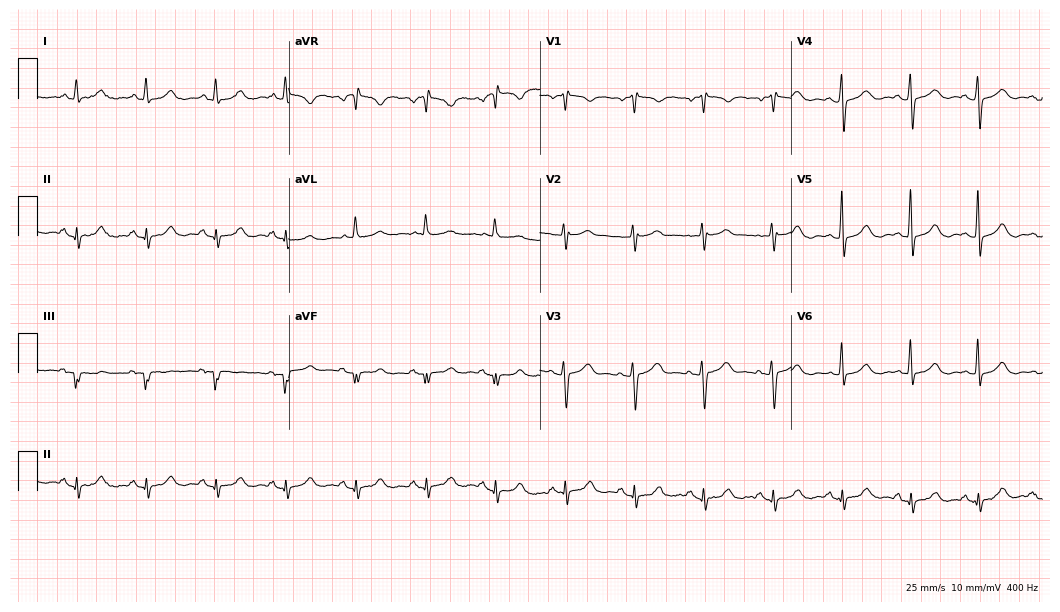
Standard 12-lead ECG recorded from a 55-year-old female patient (10.2-second recording at 400 Hz). None of these six findings is recorded: first-degree AV block, right bundle branch block (RBBB), left bundle branch block (LBBB), sinus bradycardia, atrial fibrillation (AF), sinus tachycardia. Findings outside these six are not listed.